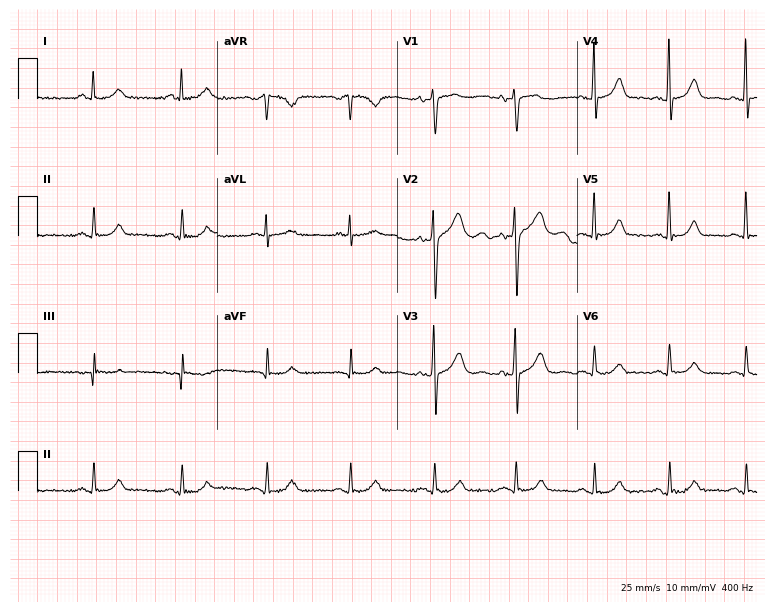
12-lead ECG (7.3-second recording at 400 Hz) from a male, 62 years old. Labelled as a normal ECG.